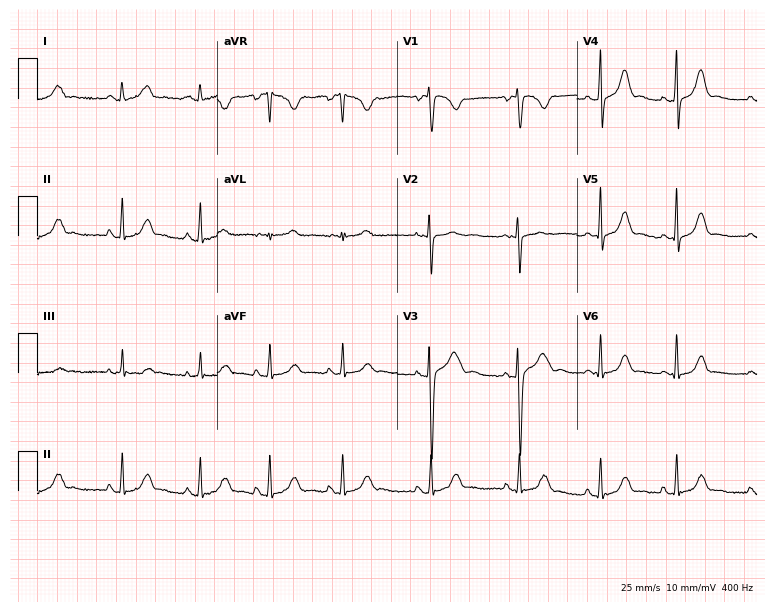
Electrocardiogram, a woman, 19 years old. Overall reading on record: normal ECG.